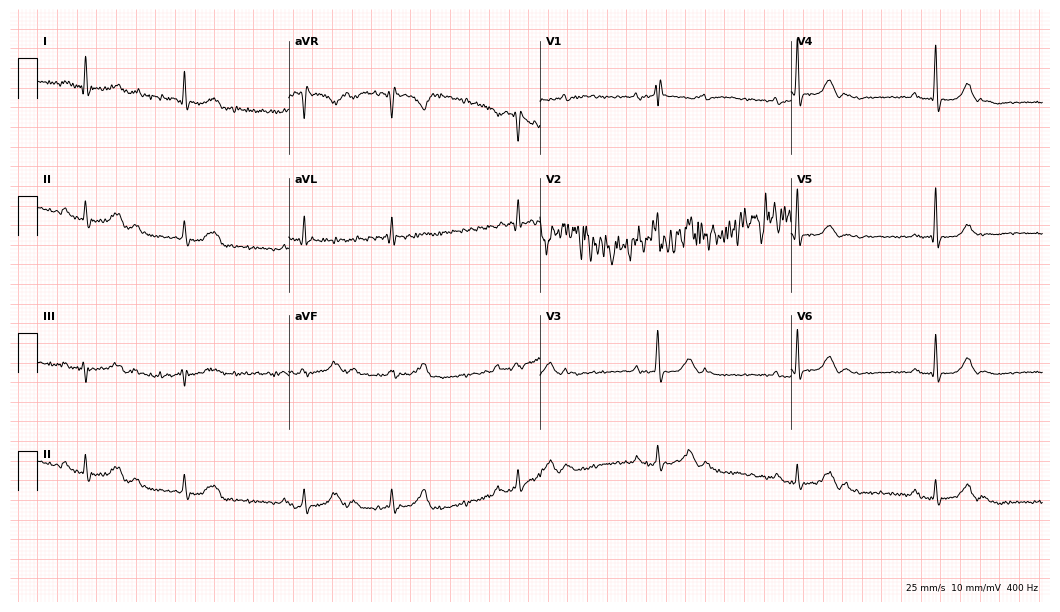
12-lead ECG from a woman, 79 years old (10.2-second recording at 400 Hz). No first-degree AV block, right bundle branch block, left bundle branch block, sinus bradycardia, atrial fibrillation or sinus tachycardia recorded for this tracing.